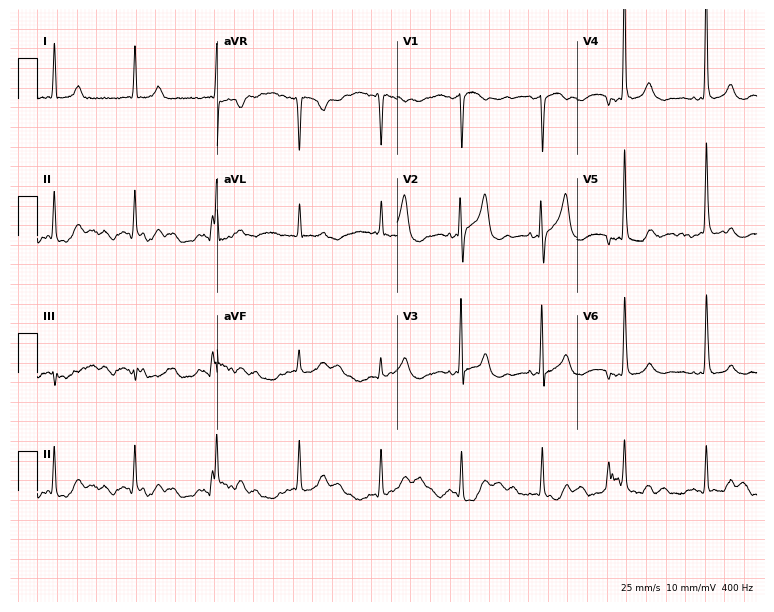
Standard 12-lead ECG recorded from a 79-year-old woman. None of these six findings is recorded: first-degree AV block, right bundle branch block (RBBB), left bundle branch block (LBBB), sinus bradycardia, atrial fibrillation (AF), sinus tachycardia.